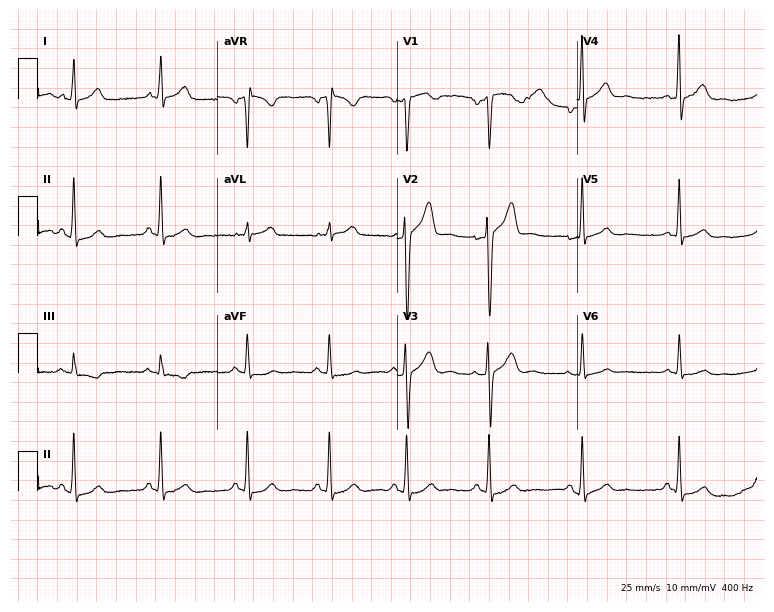
ECG (7.3-second recording at 400 Hz) — a 32-year-old male. Labelled as a normal ECG.